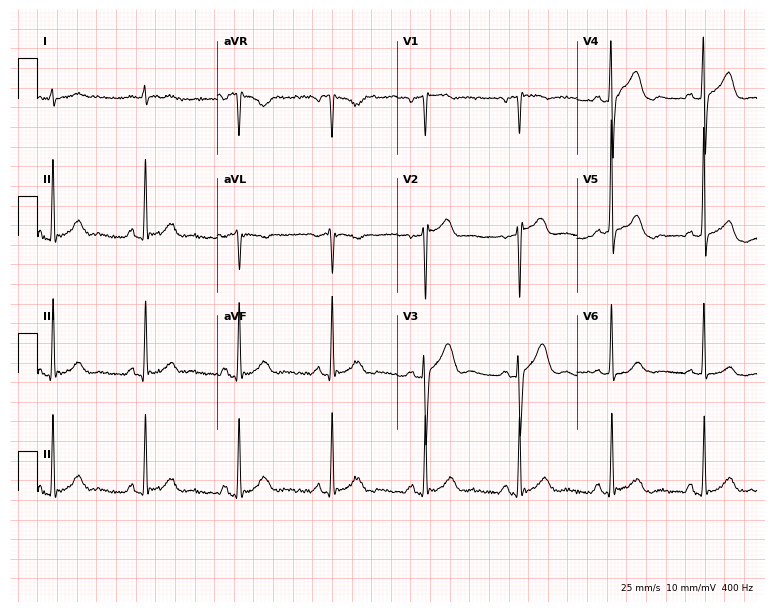
12-lead ECG from a 79-year-old man. Labelled as a normal ECG.